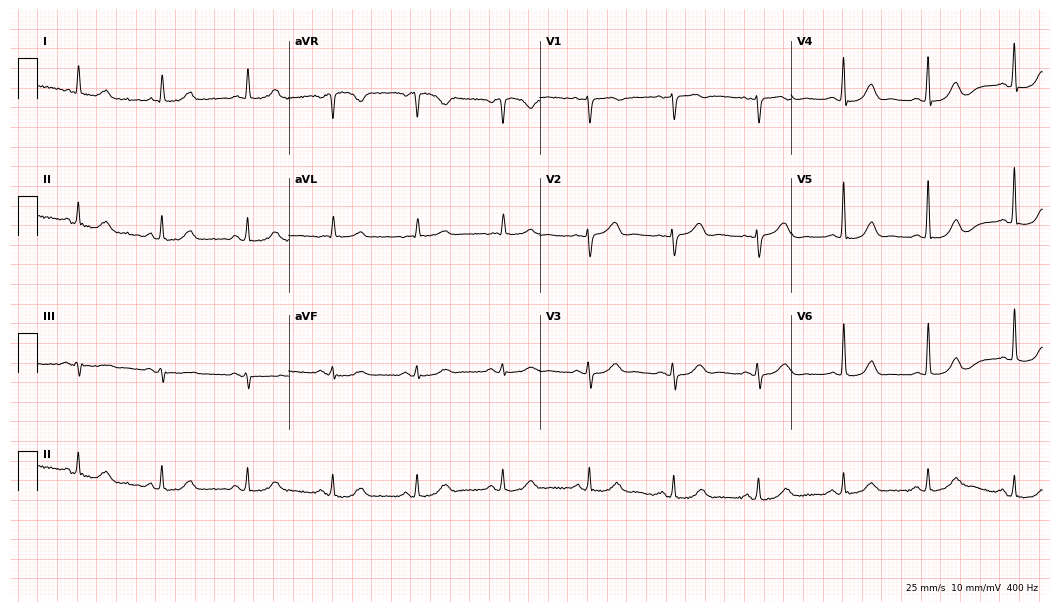
12-lead ECG (10.2-second recording at 400 Hz) from a 71-year-old female. Screened for six findings — first-degree AV block, right bundle branch block, left bundle branch block, sinus bradycardia, atrial fibrillation, sinus tachycardia — none is recorded. Findings outside these six are not listed.